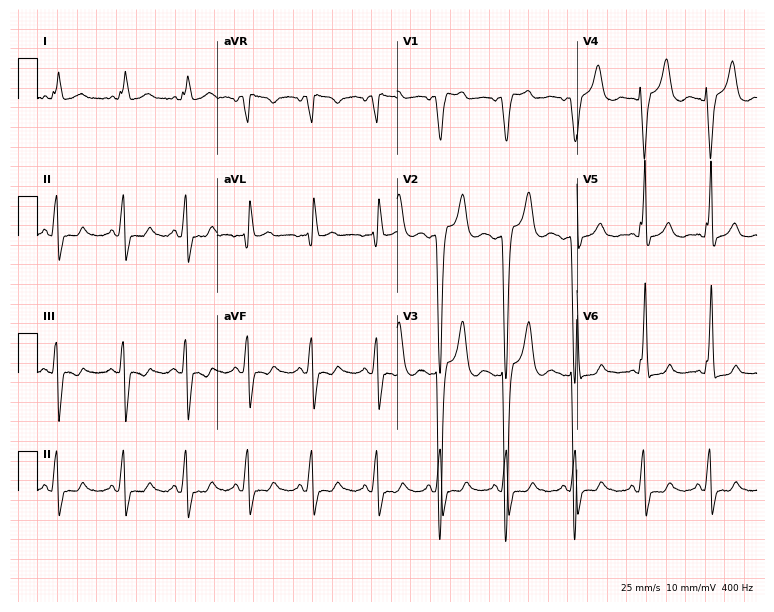
Standard 12-lead ECG recorded from a woman, 35 years old. None of these six findings is recorded: first-degree AV block, right bundle branch block, left bundle branch block, sinus bradycardia, atrial fibrillation, sinus tachycardia. Findings outside these six are not listed.